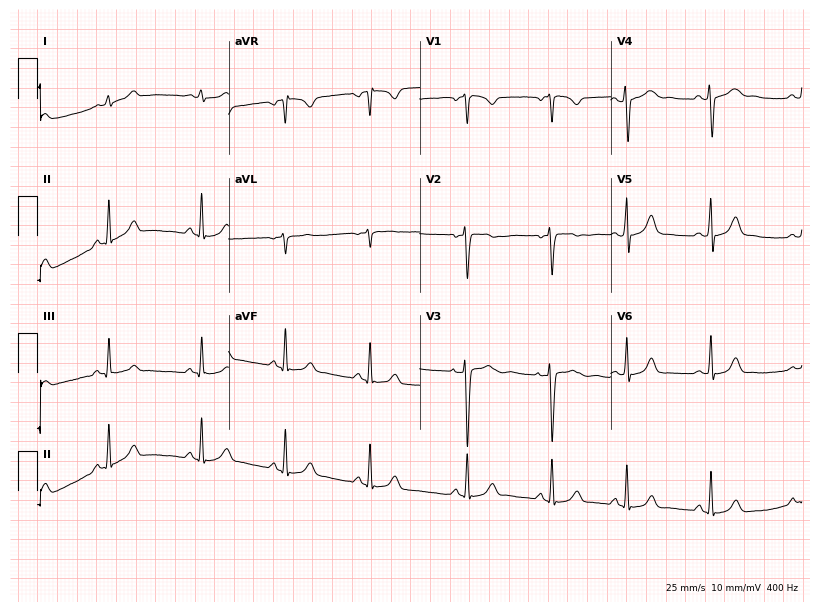
Standard 12-lead ECG recorded from a female, 18 years old. Read as a normal ECG.